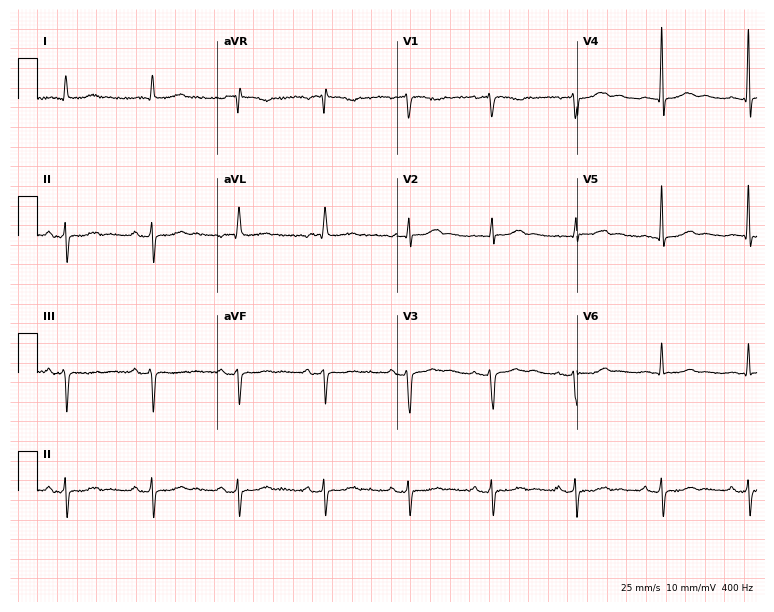
Standard 12-lead ECG recorded from a female, 85 years old (7.3-second recording at 400 Hz). None of these six findings is recorded: first-degree AV block, right bundle branch block, left bundle branch block, sinus bradycardia, atrial fibrillation, sinus tachycardia.